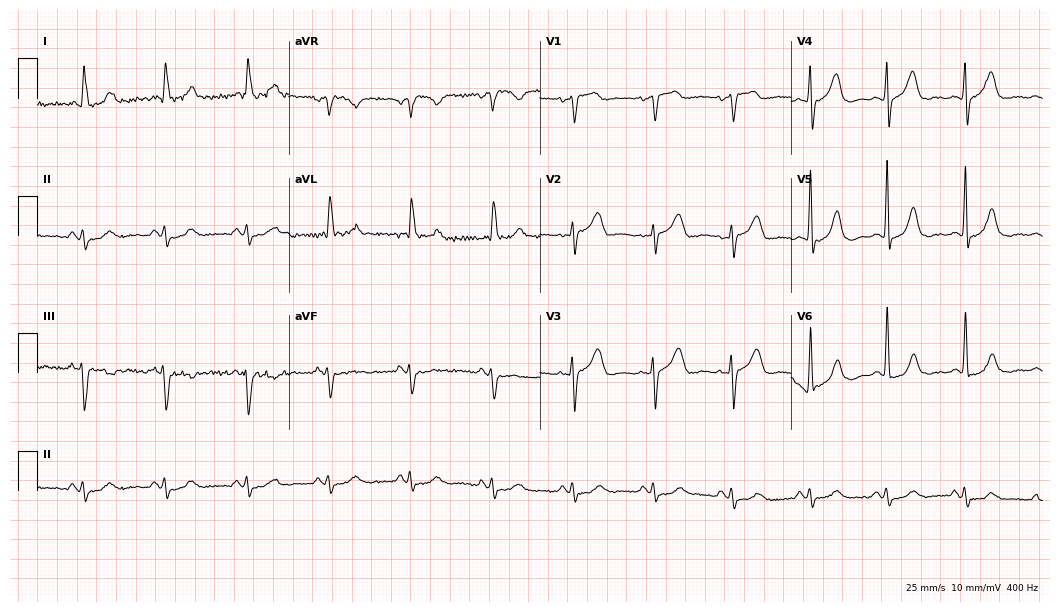
Standard 12-lead ECG recorded from a woman, 81 years old. Read as a normal ECG.